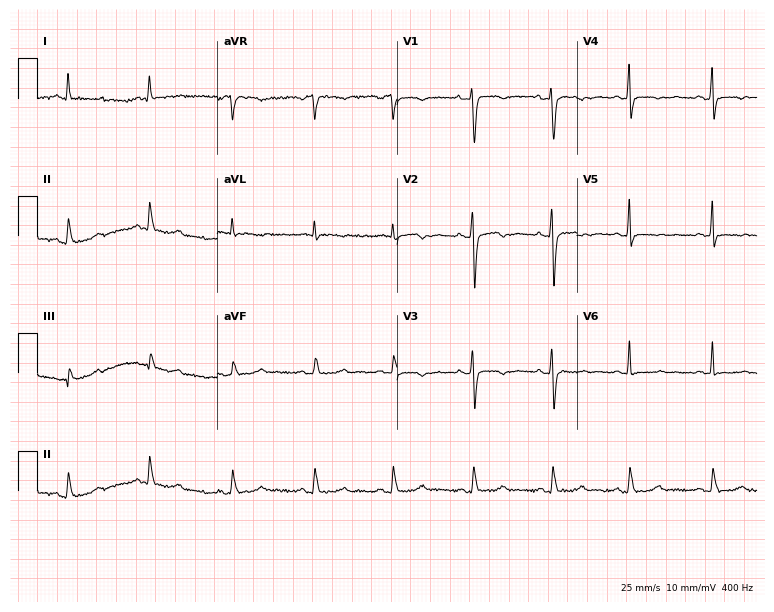
Standard 12-lead ECG recorded from a 35-year-old woman. None of these six findings is recorded: first-degree AV block, right bundle branch block, left bundle branch block, sinus bradycardia, atrial fibrillation, sinus tachycardia. Findings outside these six are not listed.